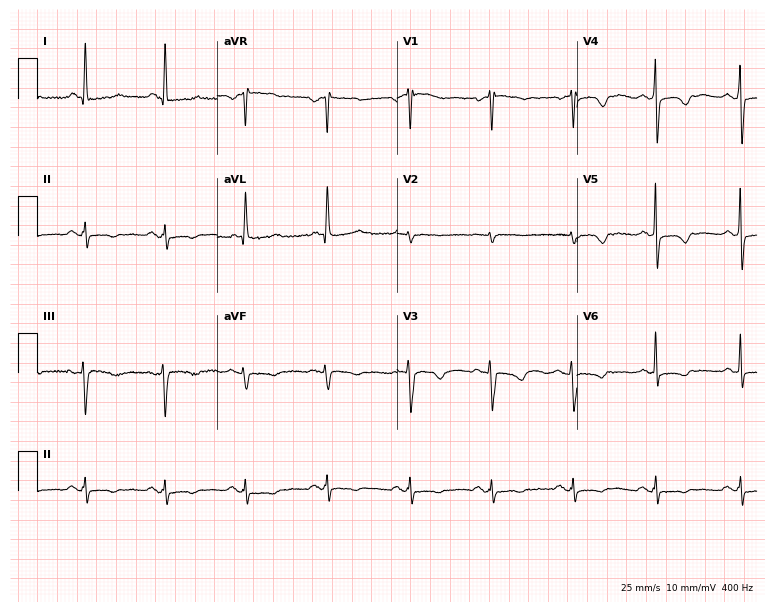
ECG (7.3-second recording at 400 Hz) — a 47-year-old female patient. Screened for six findings — first-degree AV block, right bundle branch block, left bundle branch block, sinus bradycardia, atrial fibrillation, sinus tachycardia — none is recorded.